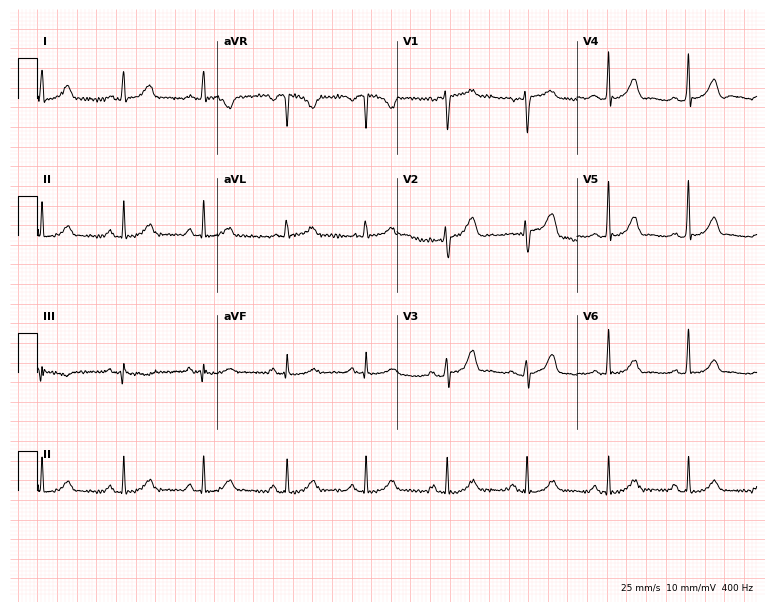
ECG (7.3-second recording at 400 Hz) — a 40-year-old woman. Labelled as a normal ECG.